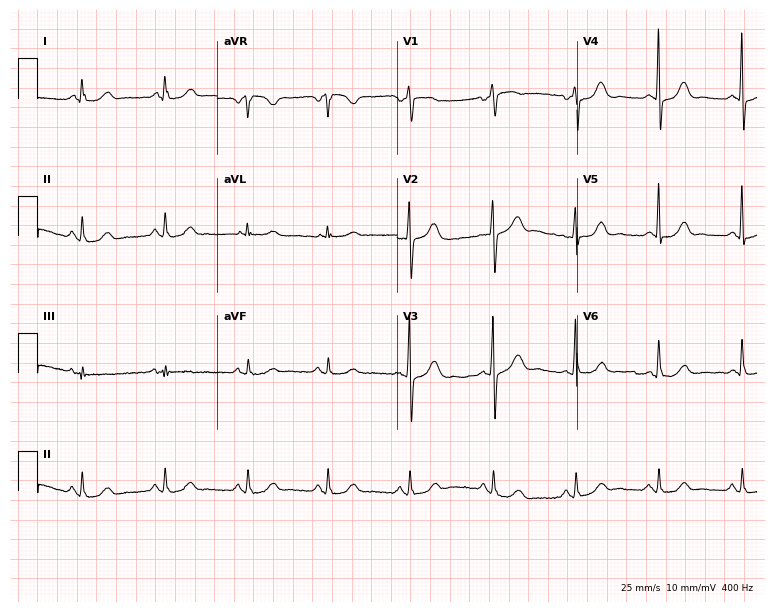
ECG (7.3-second recording at 400 Hz) — a female patient, 57 years old. Labelled as a normal ECG.